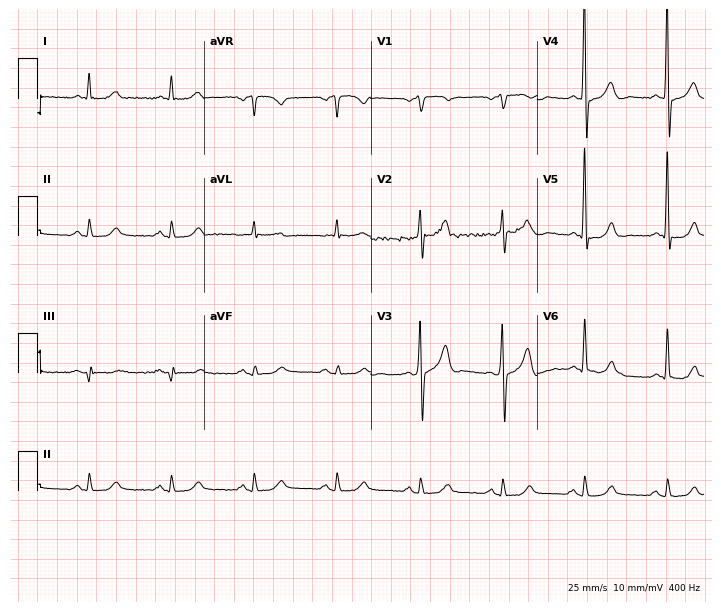
Standard 12-lead ECG recorded from a man, 76 years old. Read as a normal ECG.